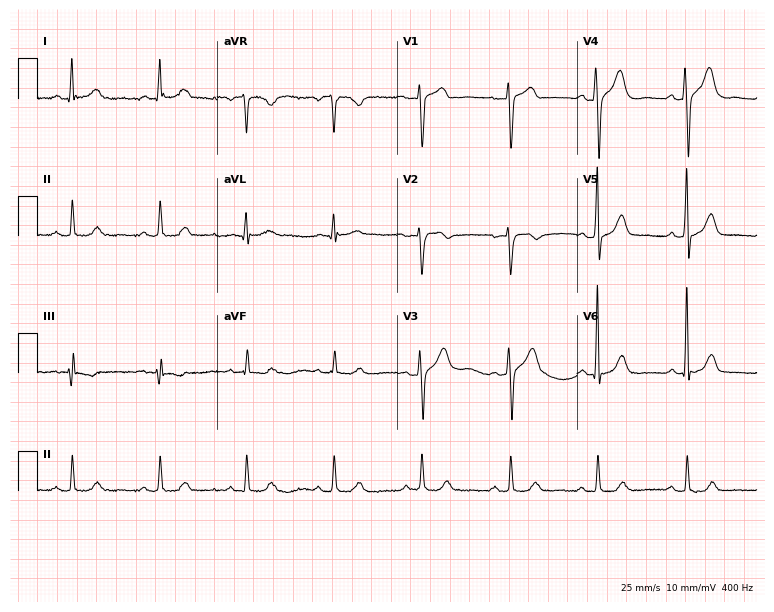
ECG — a male, 59 years old. Labelled as a normal ECG.